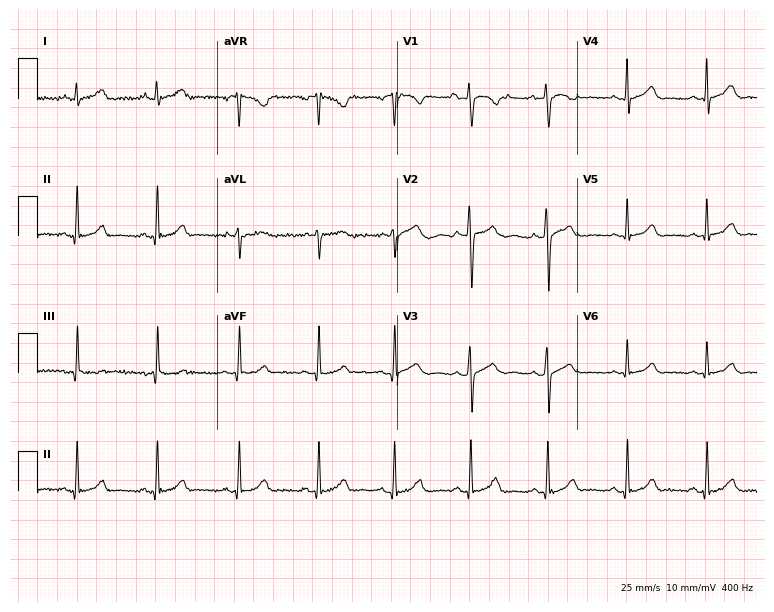
12-lead ECG (7.3-second recording at 400 Hz) from a 29-year-old woman. Screened for six findings — first-degree AV block, right bundle branch block (RBBB), left bundle branch block (LBBB), sinus bradycardia, atrial fibrillation (AF), sinus tachycardia — none is recorded. Only these six findings were labelled.